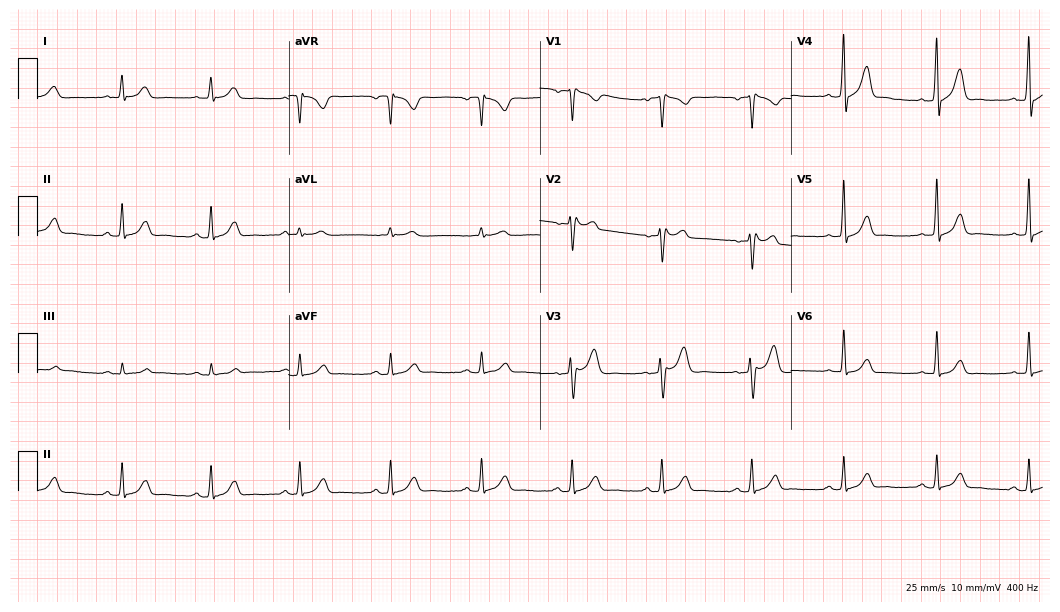
ECG — a 51-year-old male. Labelled as a normal ECG.